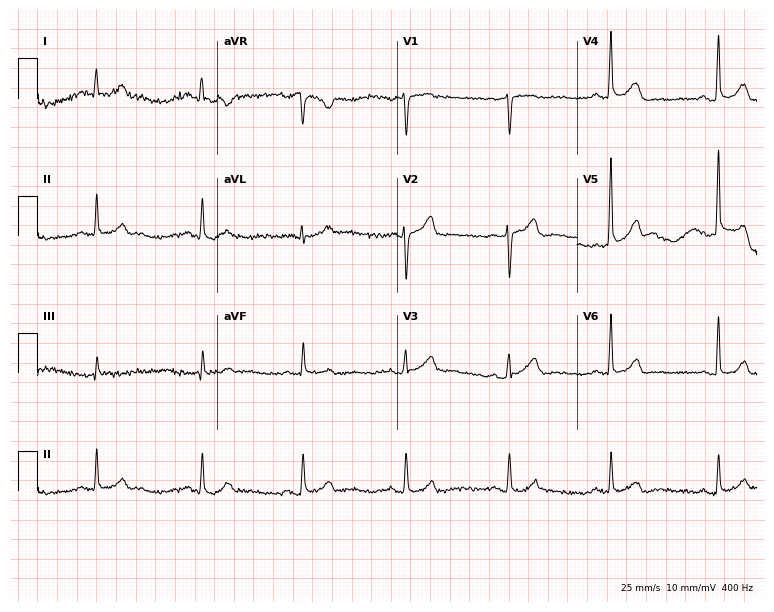
ECG — a male, 58 years old. Labelled as a normal ECG.